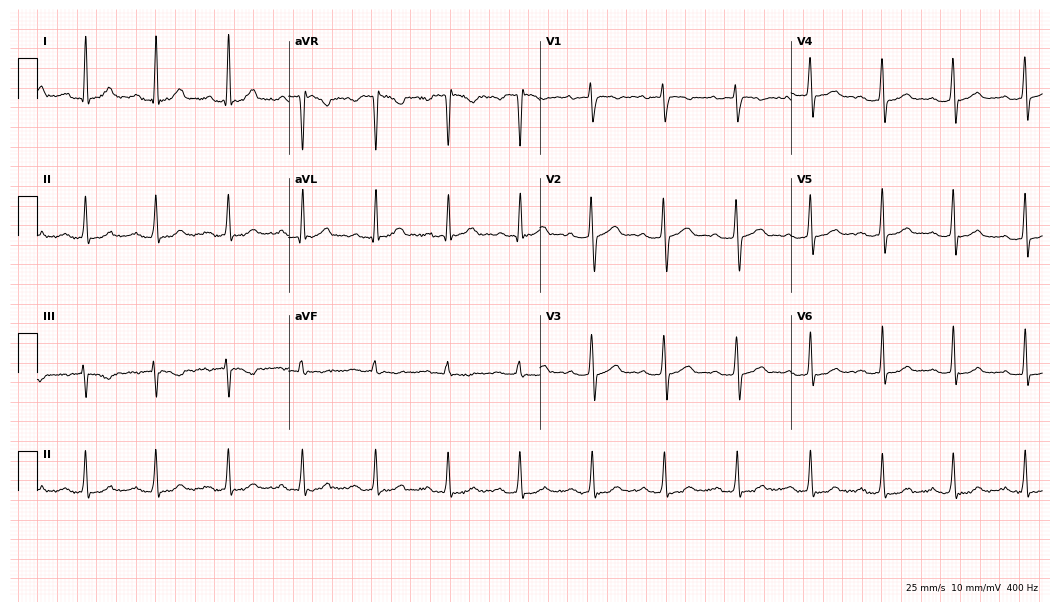
Resting 12-lead electrocardiogram (10.2-second recording at 400 Hz). Patient: a 42-year-old female. Read as a normal ECG.